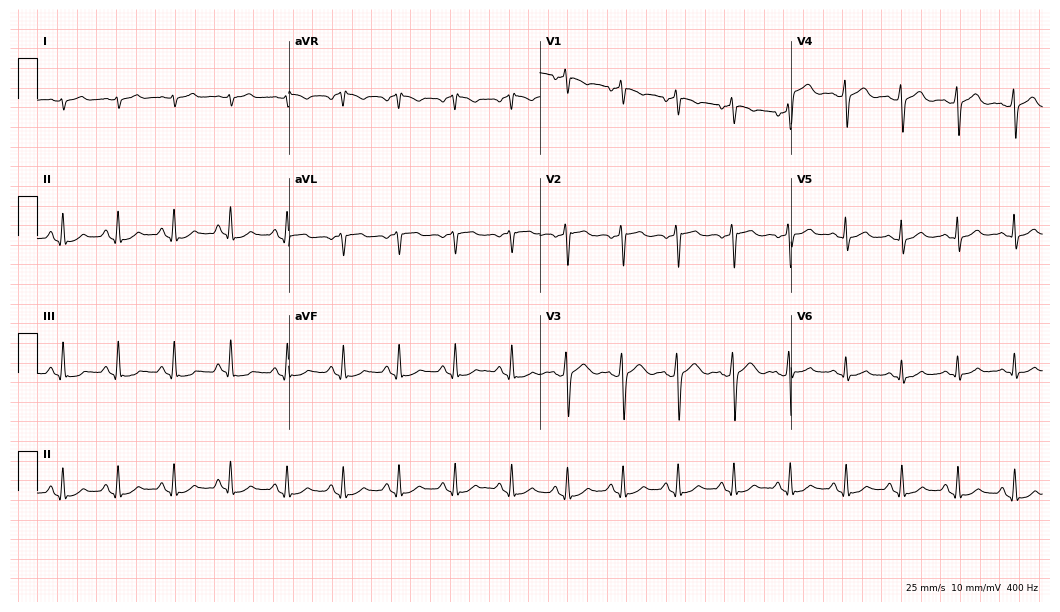
12-lead ECG from a 31-year-old man. Findings include sinus tachycardia (a sinus rate of 100 beats per minute or more).